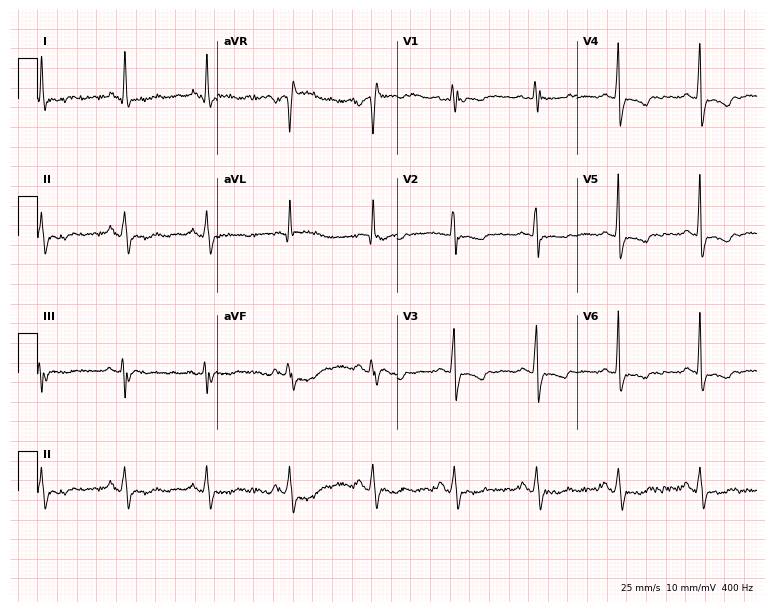
ECG (7.3-second recording at 400 Hz) — a 77-year-old woman. Screened for six findings — first-degree AV block, right bundle branch block (RBBB), left bundle branch block (LBBB), sinus bradycardia, atrial fibrillation (AF), sinus tachycardia — none is recorded.